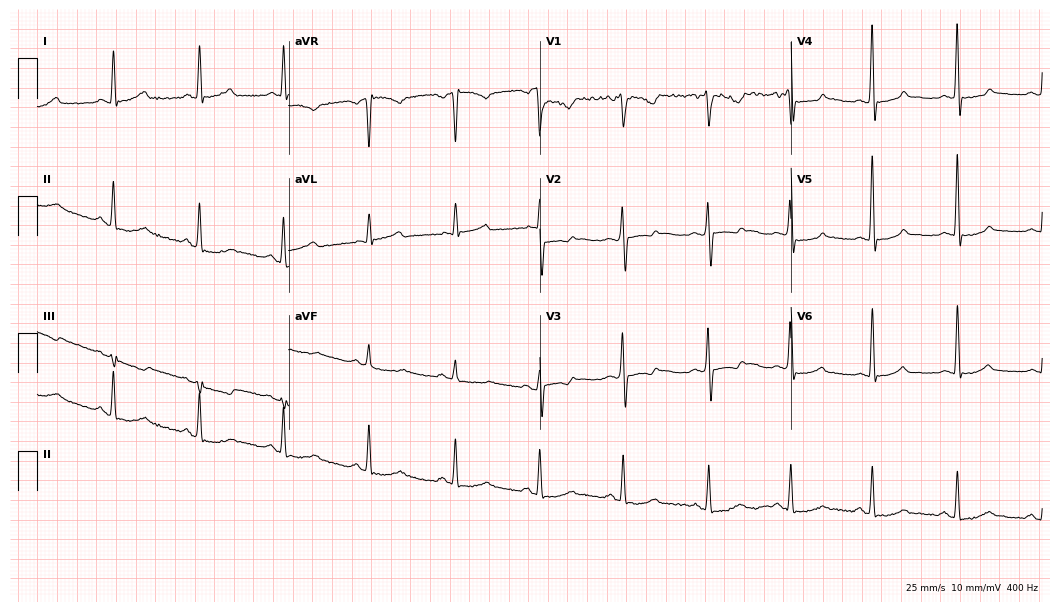
ECG (10.2-second recording at 400 Hz) — a 54-year-old woman. Screened for six findings — first-degree AV block, right bundle branch block, left bundle branch block, sinus bradycardia, atrial fibrillation, sinus tachycardia — none is recorded.